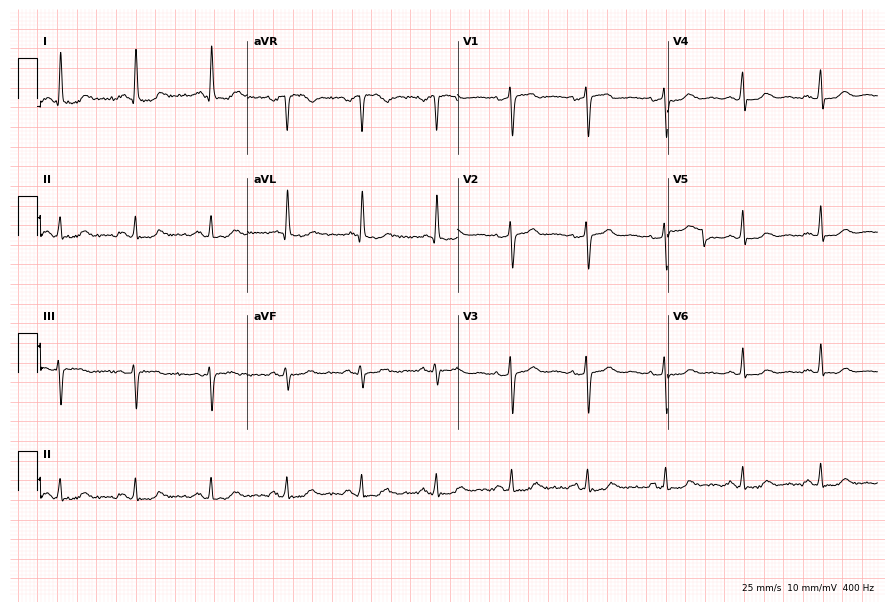
ECG (8.6-second recording at 400 Hz) — a woman, 58 years old. Labelled as a normal ECG.